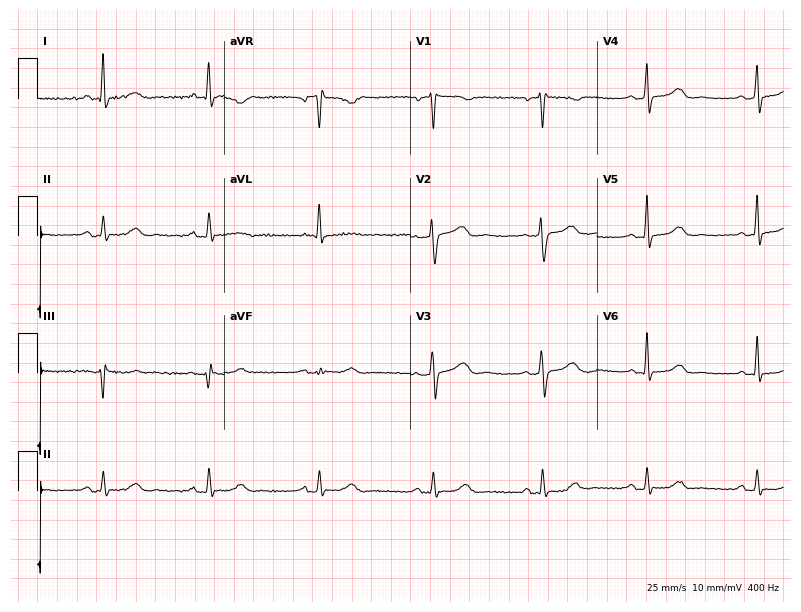
ECG (7.6-second recording at 400 Hz) — a female, 64 years old. Screened for six findings — first-degree AV block, right bundle branch block, left bundle branch block, sinus bradycardia, atrial fibrillation, sinus tachycardia — none is recorded. Other findings, if any, are not listed.